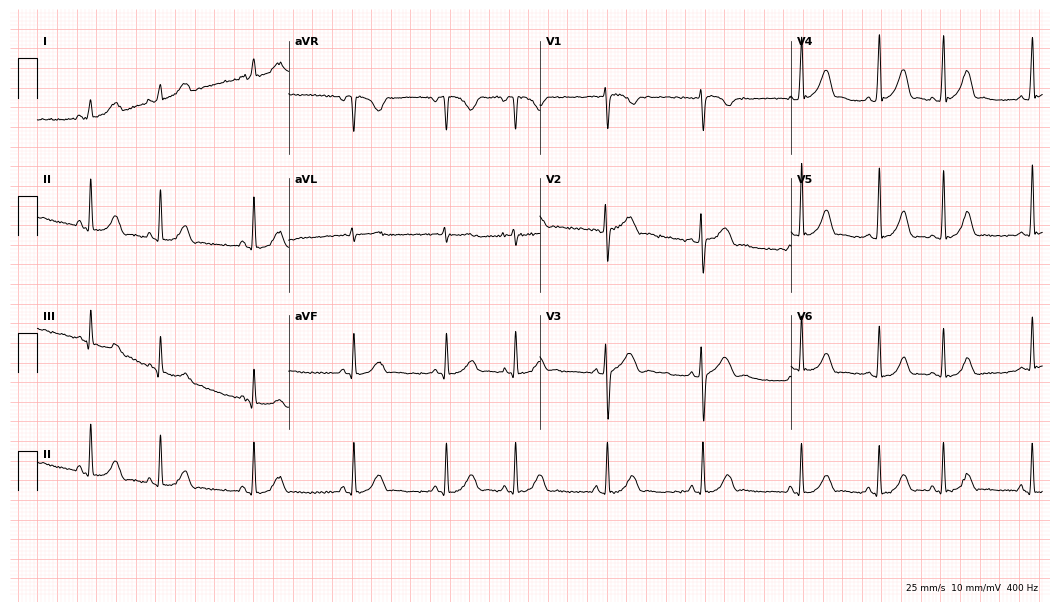
Resting 12-lead electrocardiogram (10.2-second recording at 400 Hz). Patient: a 21-year-old woman. Read as a normal ECG.